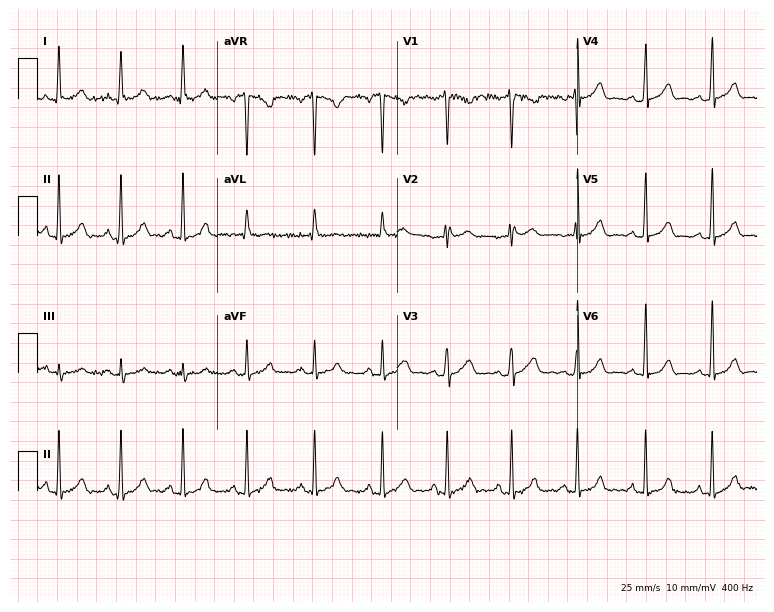
12-lead ECG (7.3-second recording at 400 Hz) from a female, 35 years old. Screened for six findings — first-degree AV block, right bundle branch block, left bundle branch block, sinus bradycardia, atrial fibrillation, sinus tachycardia — none is recorded.